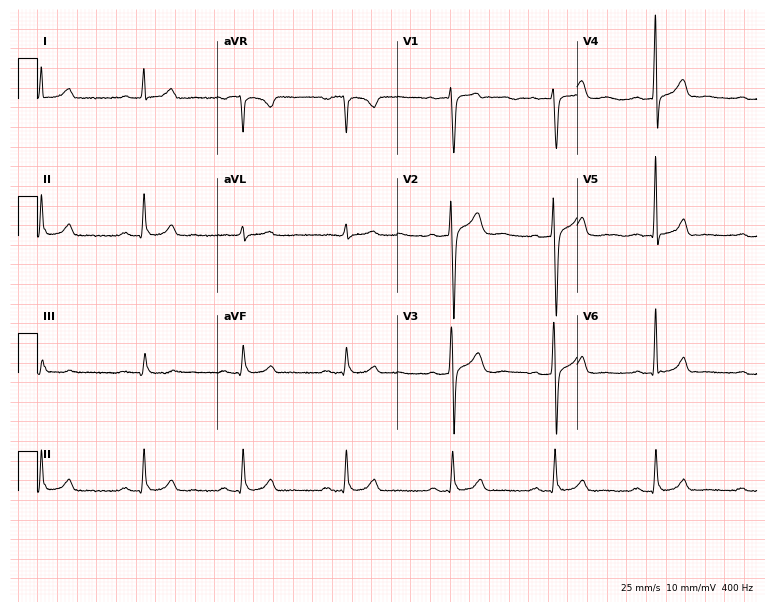
Electrocardiogram (7.3-second recording at 400 Hz), a 43-year-old male. Overall reading on record: normal ECG.